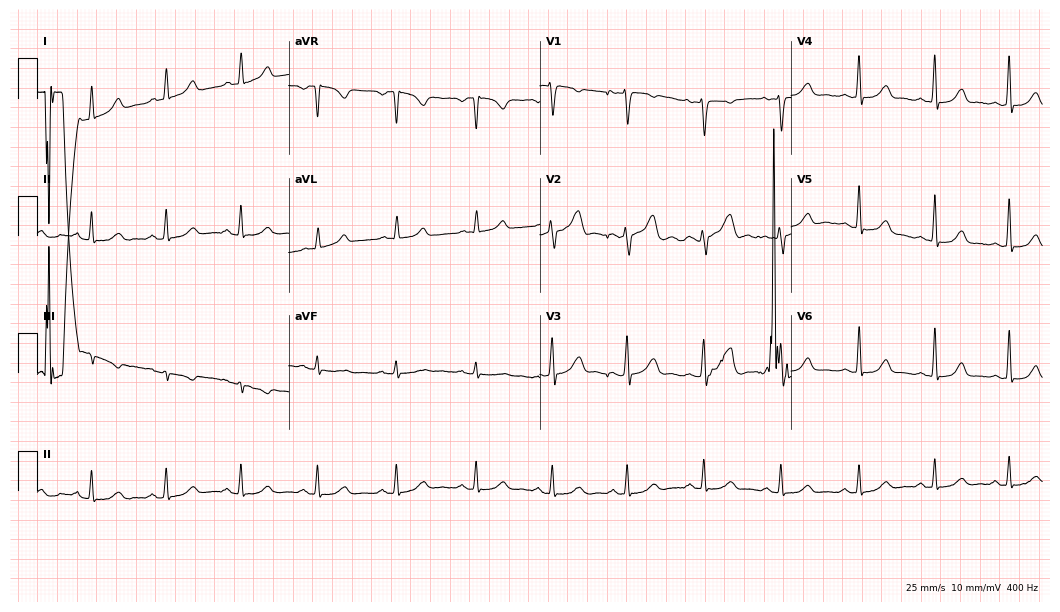
Standard 12-lead ECG recorded from a 41-year-old female. Read as a normal ECG.